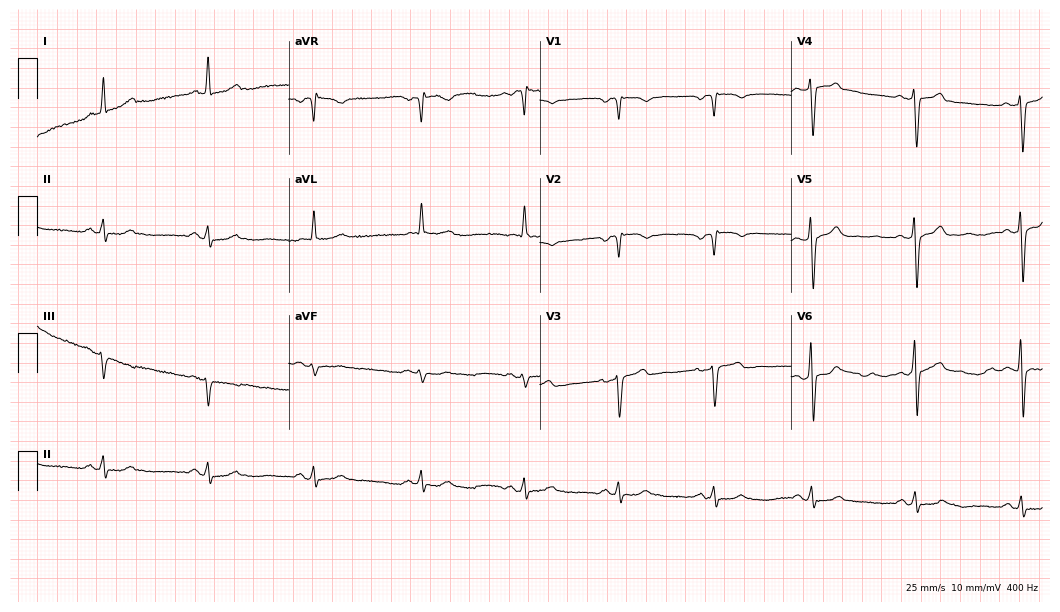
Electrocardiogram (10.2-second recording at 400 Hz), a male, 67 years old. Of the six screened findings (first-degree AV block, right bundle branch block, left bundle branch block, sinus bradycardia, atrial fibrillation, sinus tachycardia), none is recorded. Findings outside these six are not listed.